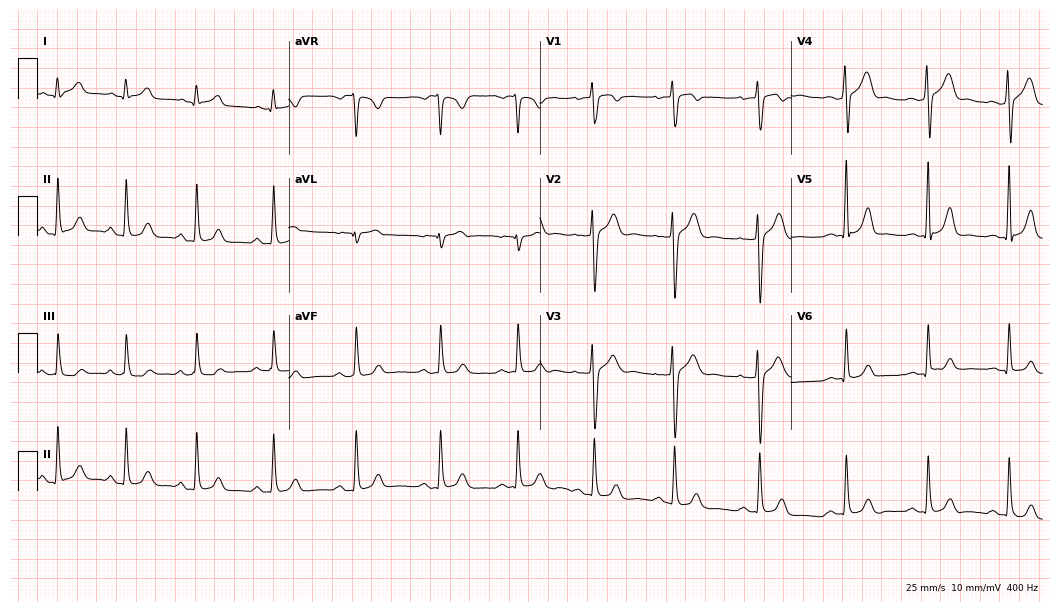
Resting 12-lead electrocardiogram (10.2-second recording at 400 Hz). Patient: a man, 26 years old. Read as a normal ECG.